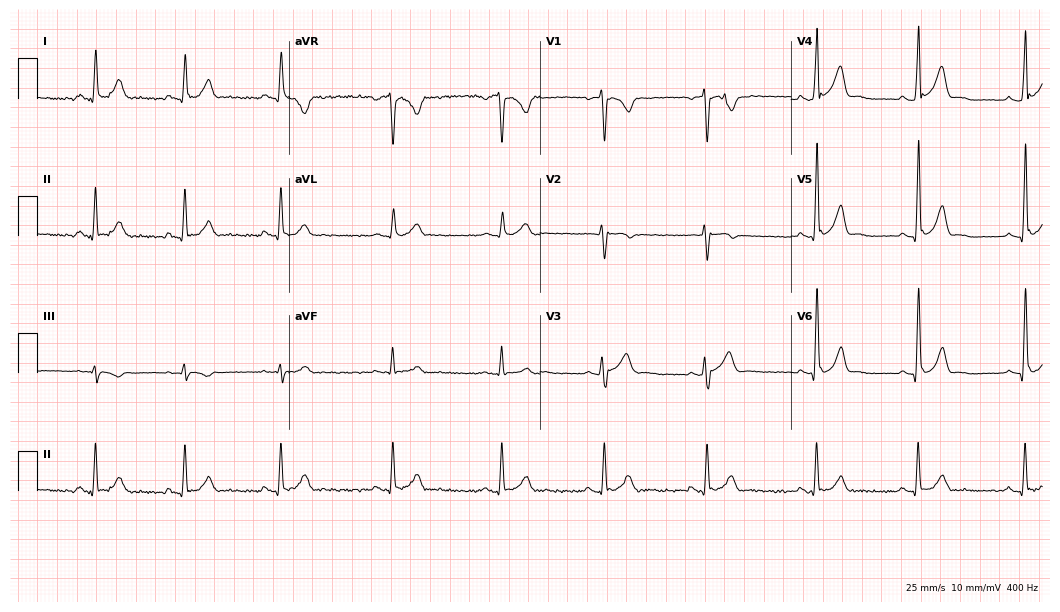
12-lead ECG from a man, 28 years old. Screened for six findings — first-degree AV block, right bundle branch block (RBBB), left bundle branch block (LBBB), sinus bradycardia, atrial fibrillation (AF), sinus tachycardia — none is recorded. Only these six findings were labelled.